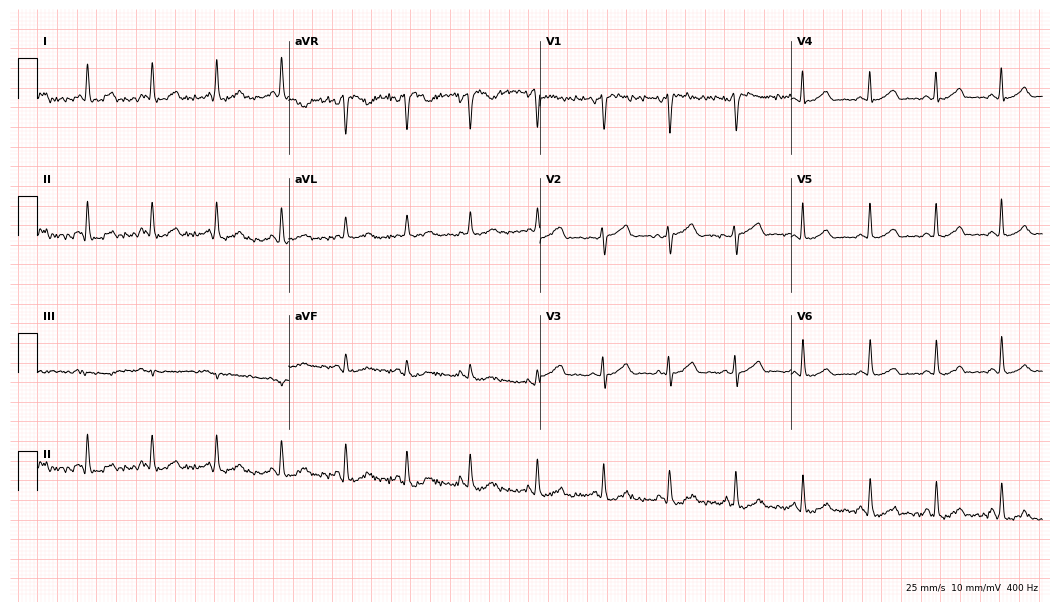
12-lead ECG from a 47-year-old female patient. Recorded interpretation: within normal limits.